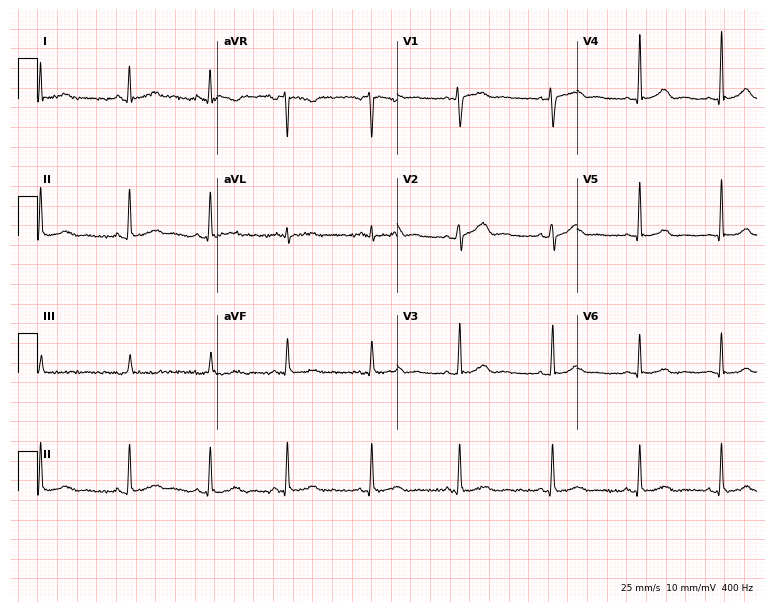
Resting 12-lead electrocardiogram (7.3-second recording at 400 Hz). Patient: a 44-year-old female. Read as a normal ECG.